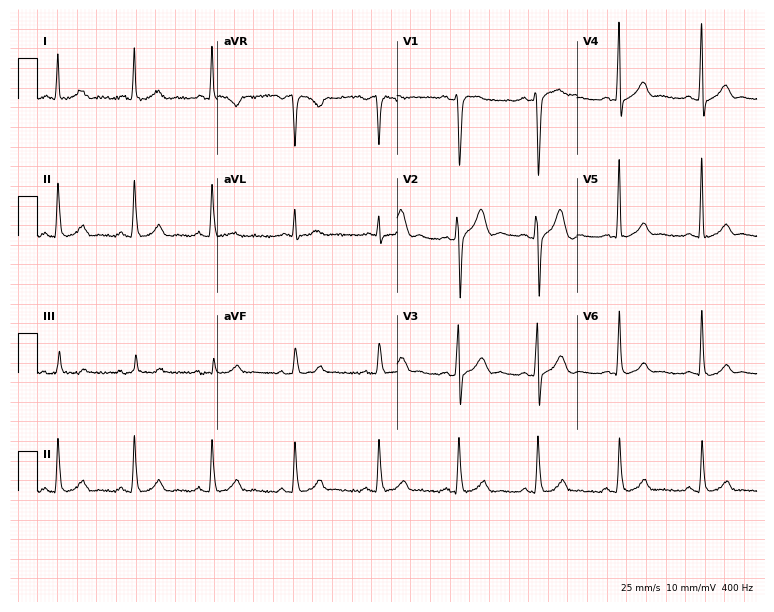
Electrocardiogram (7.3-second recording at 400 Hz), a 44-year-old male. Overall reading on record: normal ECG.